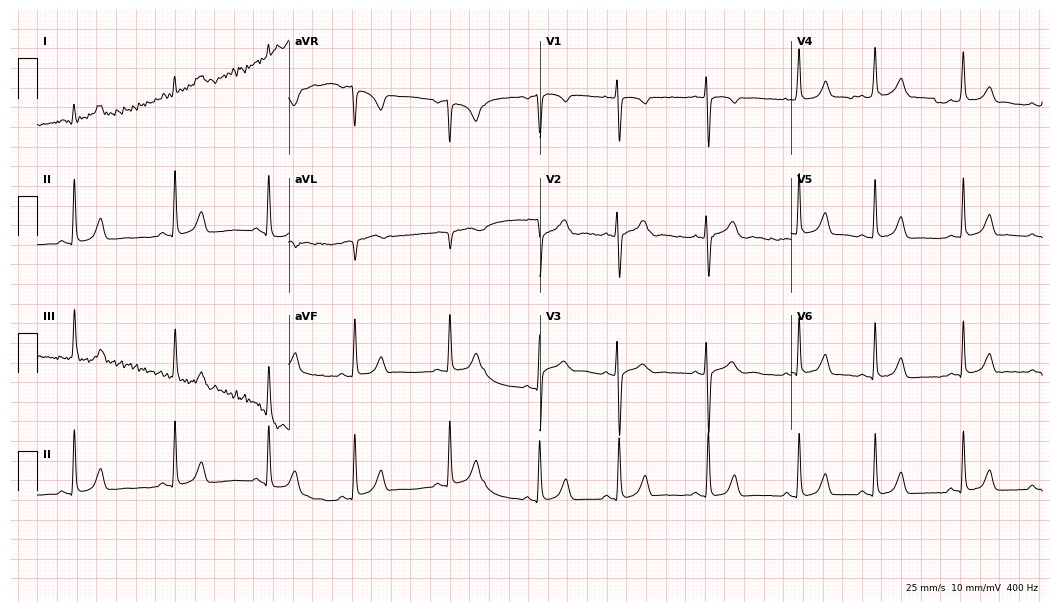
Electrocardiogram, a 21-year-old female patient. Overall reading on record: normal ECG.